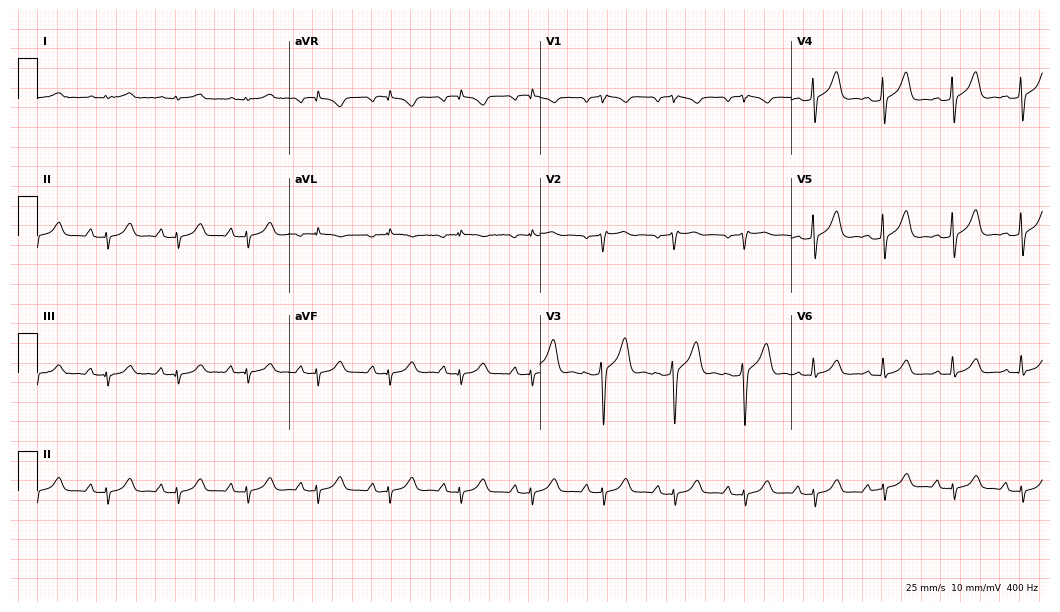
ECG — a man, 60 years old. Screened for six findings — first-degree AV block, right bundle branch block (RBBB), left bundle branch block (LBBB), sinus bradycardia, atrial fibrillation (AF), sinus tachycardia — none is recorded.